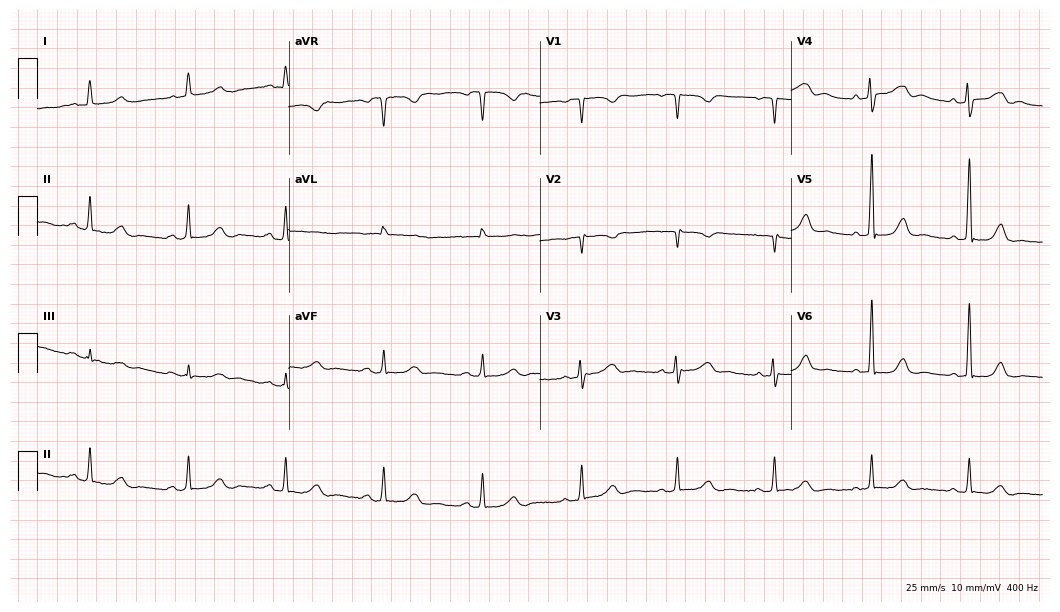
12-lead ECG from a female, 65 years old (10.2-second recording at 400 Hz). No first-degree AV block, right bundle branch block, left bundle branch block, sinus bradycardia, atrial fibrillation or sinus tachycardia recorded for this tracing. Only these six findings were labelled.